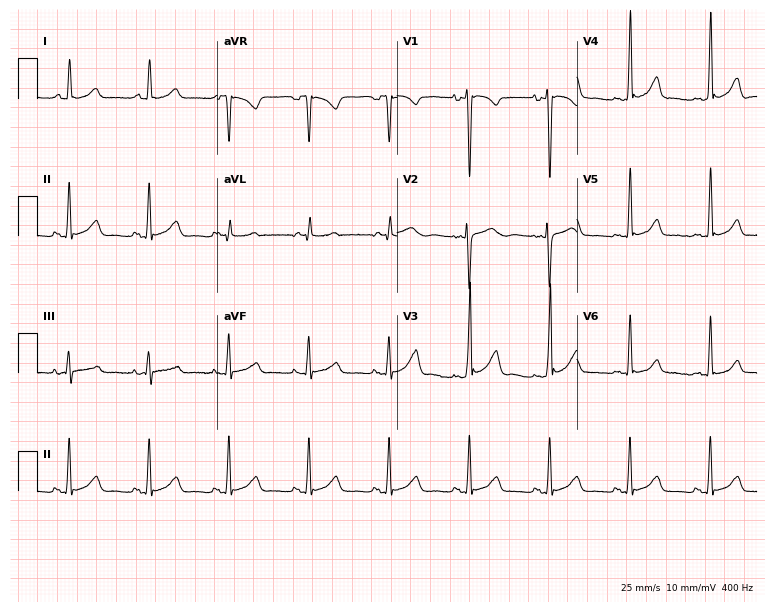
Electrocardiogram (7.3-second recording at 400 Hz), a female patient, 30 years old. Overall reading on record: normal ECG.